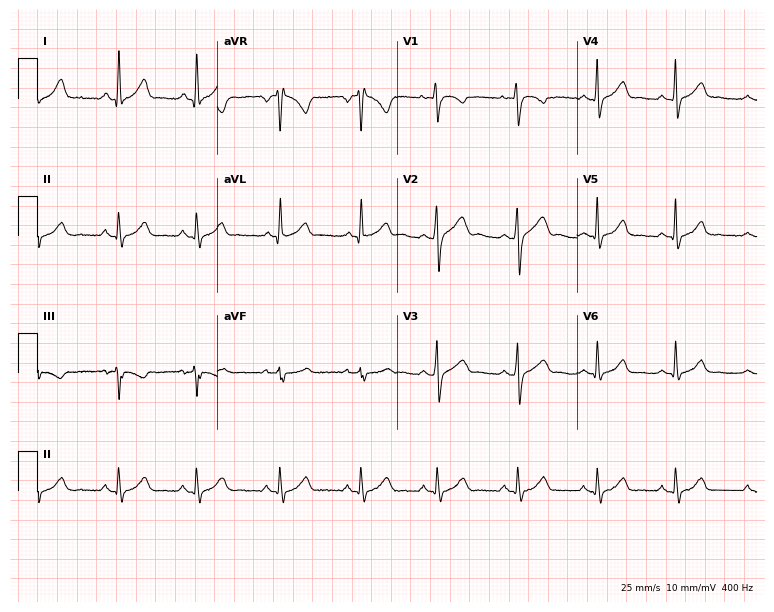
ECG — a 30-year-old woman. Labelled as a normal ECG.